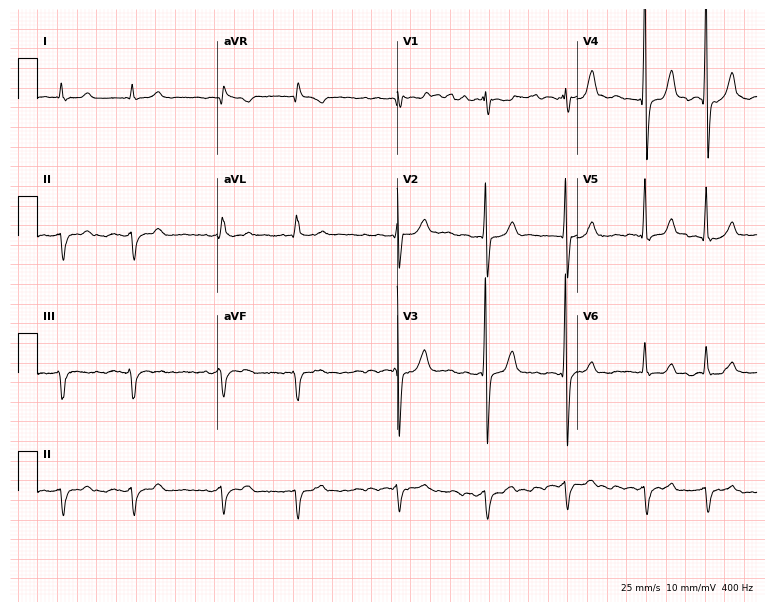
12-lead ECG from a 73-year-old male. Findings include atrial fibrillation (AF).